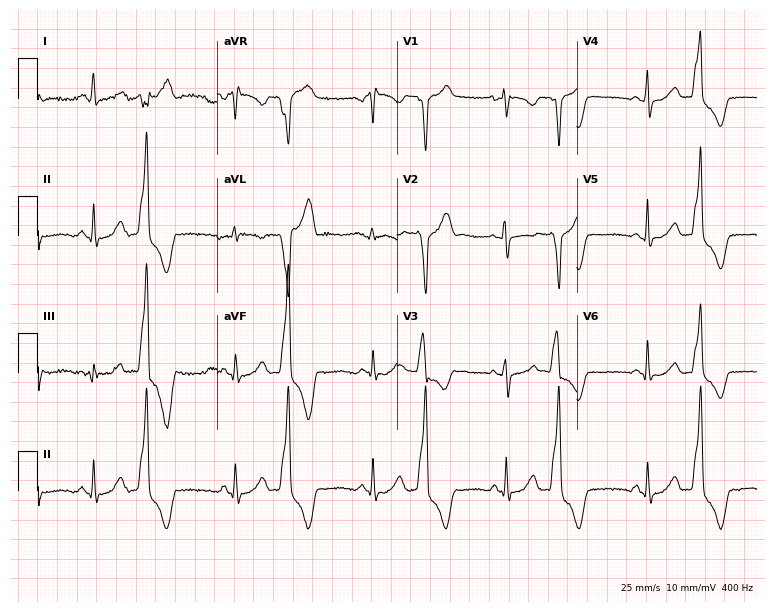
ECG (7.3-second recording at 400 Hz) — a 31-year-old female. Screened for six findings — first-degree AV block, right bundle branch block (RBBB), left bundle branch block (LBBB), sinus bradycardia, atrial fibrillation (AF), sinus tachycardia — none is recorded.